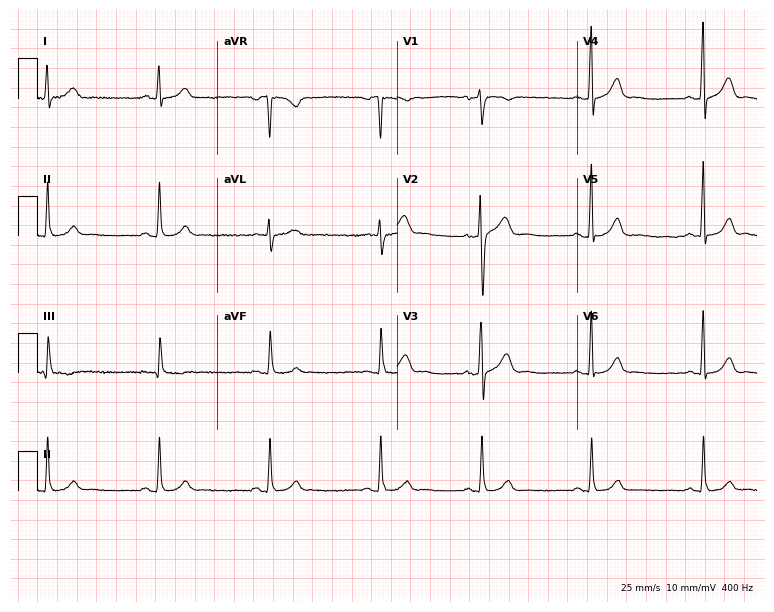
Electrocardiogram (7.3-second recording at 400 Hz), a 46-year-old man. Overall reading on record: normal ECG.